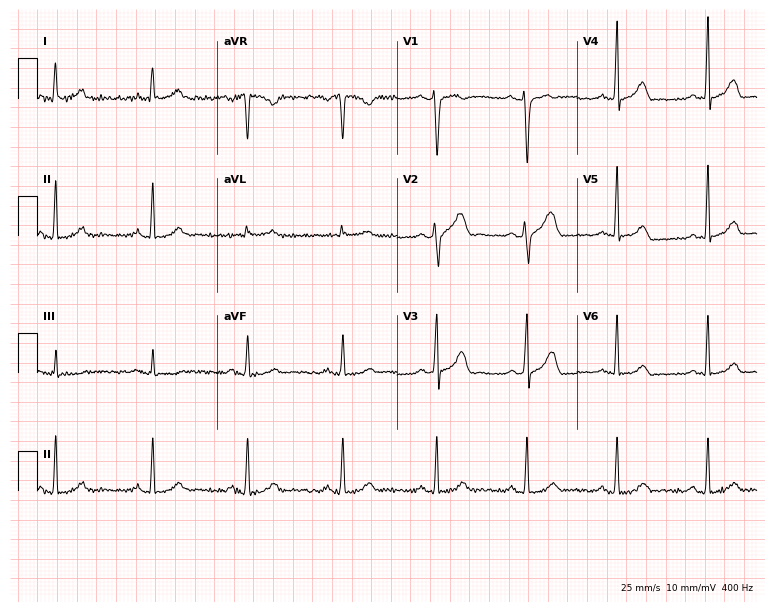
12-lead ECG from a 38-year-old woman. Screened for six findings — first-degree AV block, right bundle branch block, left bundle branch block, sinus bradycardia, atrial fibrillation, sinus tachycardia — none is recorded.